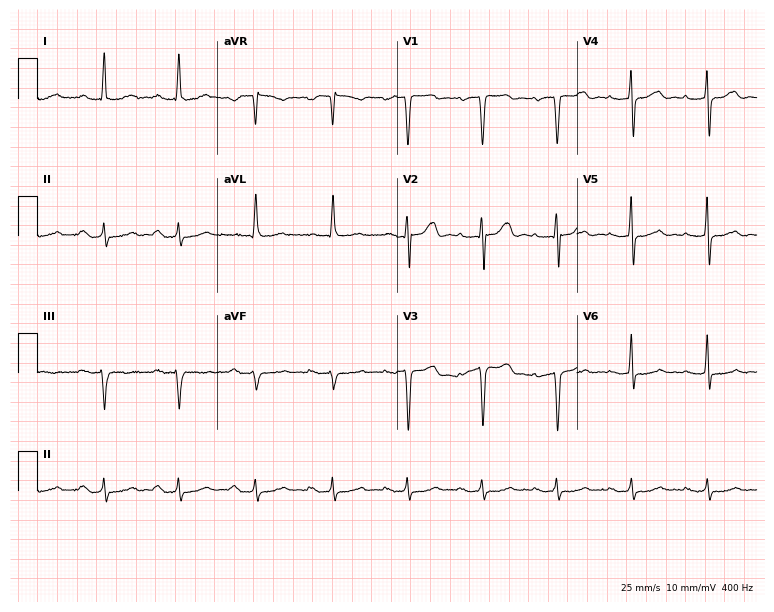
Electrocardiogram (7.3-second recording at 400 Hz), a woman, 51 years old. Overall reading on record: normal ECG.